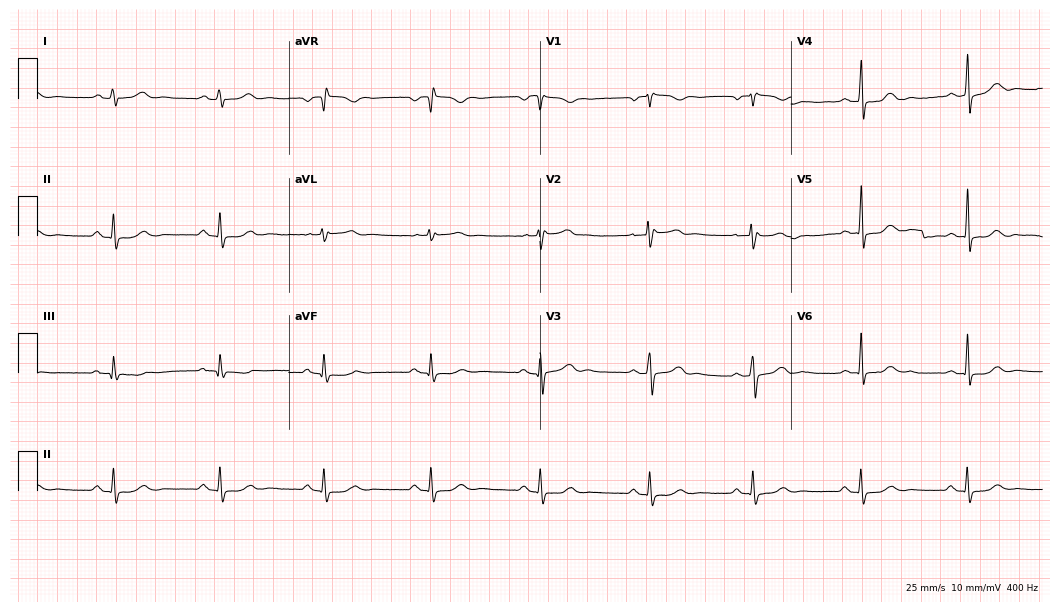
Resting 12-lead electrocardiogram. Patient: a 46-year-old woman. Read as a normal ECG.